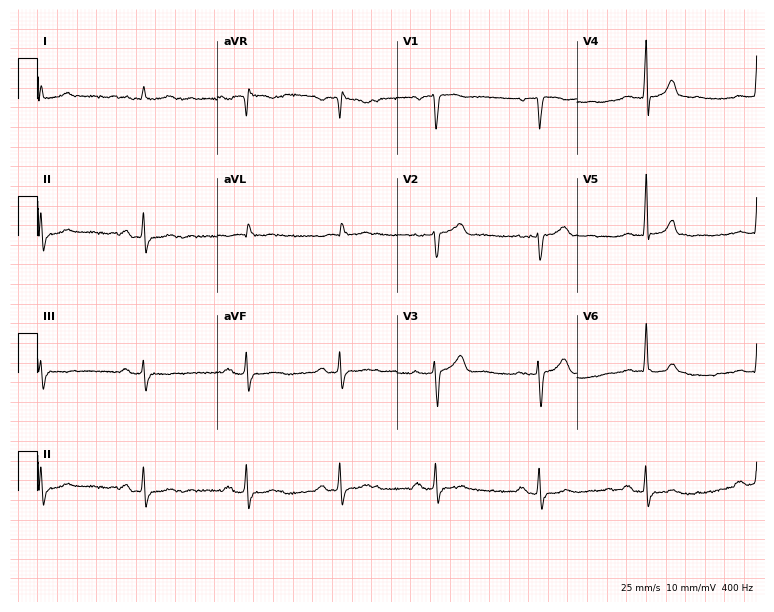
Standard 12-lead ECG recorded from a male patient, 71 years old (7.3-second recording at 400 Hz). Read as a normal ECG.